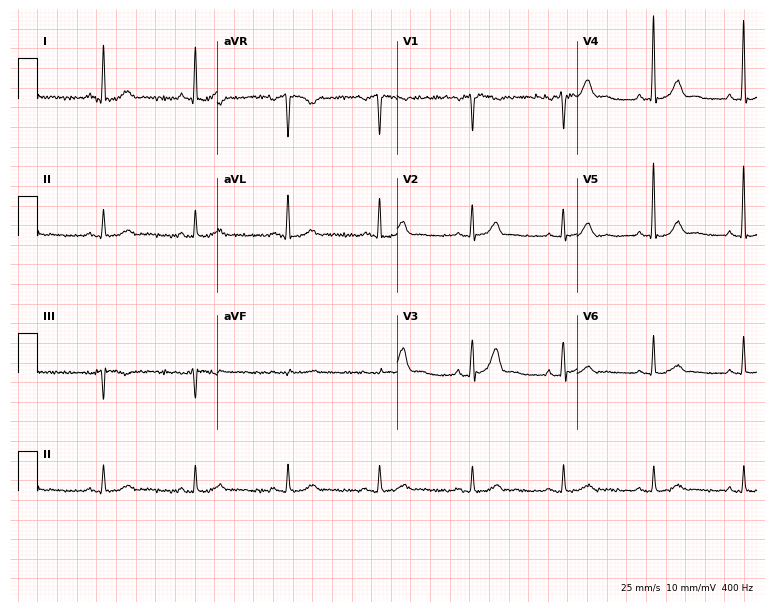
Standard 12-lead ECG recorded from an 80-year-old male patient (7.3-second recording at 400 Hz). Read as a normal ECG.